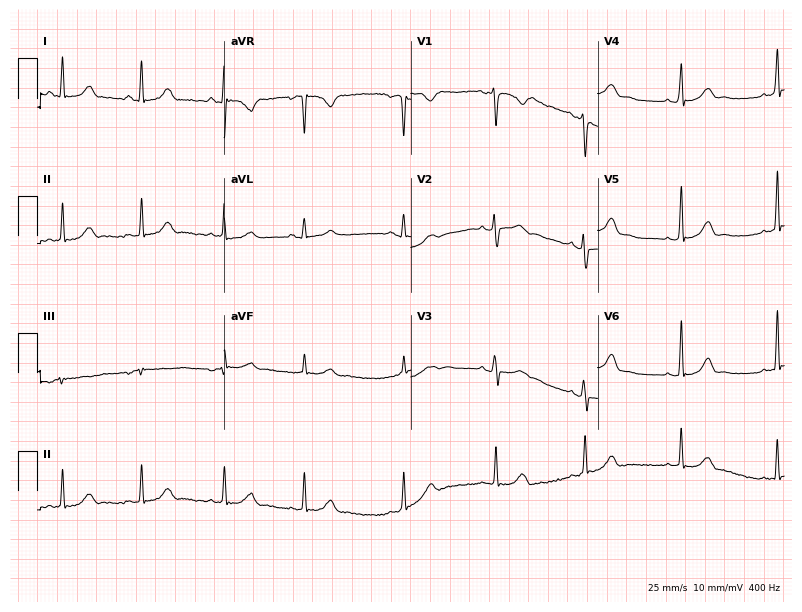
12-lead ECG from a female patient, 26 years old. Labelled as a normal ECG.